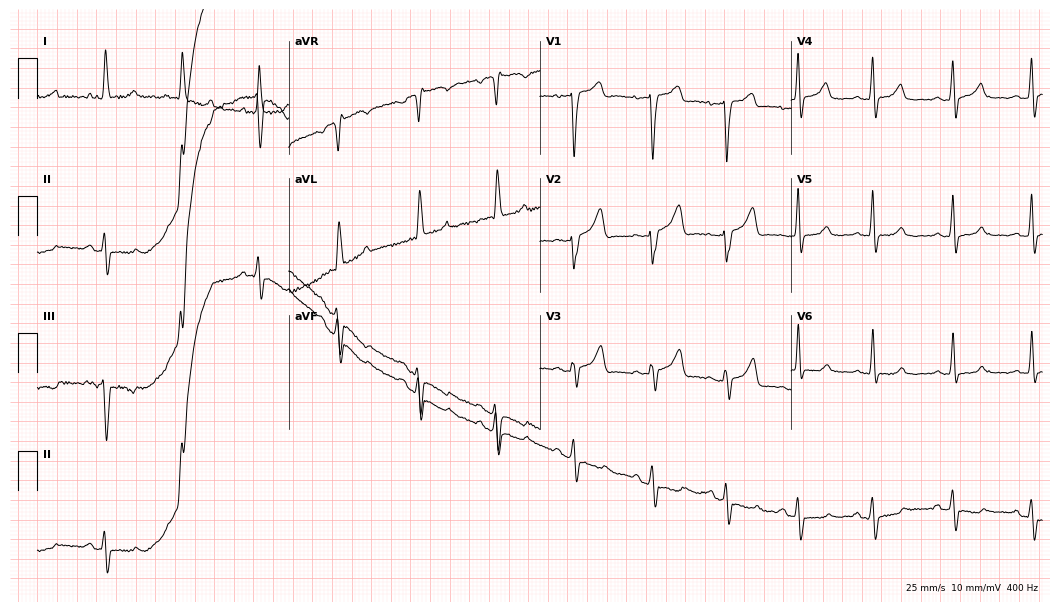
Standard 12-lead ECG recorded from a 71-year-old female (10.2-second recording at 400 Hz). None of these six findings is recorded: first-degree AV block, right bundle branch block, left bundle branch block, sinus bradycardia, atrial fibrillation, sinus tachycardia. Only these six findings were labelled.